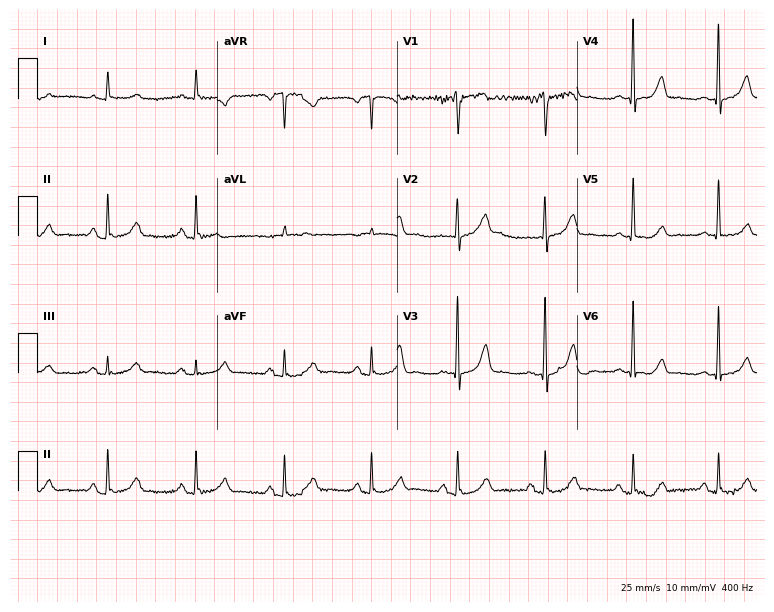
12-lead ECG (7.3-second recording at 400 Hz) from an 80-year-old male. Screened for six findings — first-degree AV block, right bundle branch block, left bundle branch block, sinus bradycardia, atrial fibrillation, sinus tachycardia — none is recorded. Findings outside these six are not listed.